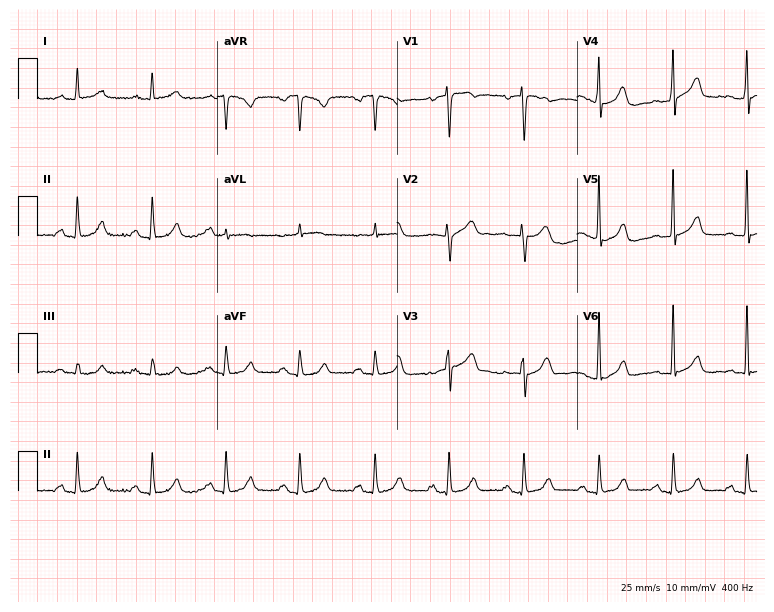
Resting 12-lead electrocardiogram. Patient: a female, 67 years old. Read as a normal ECG.